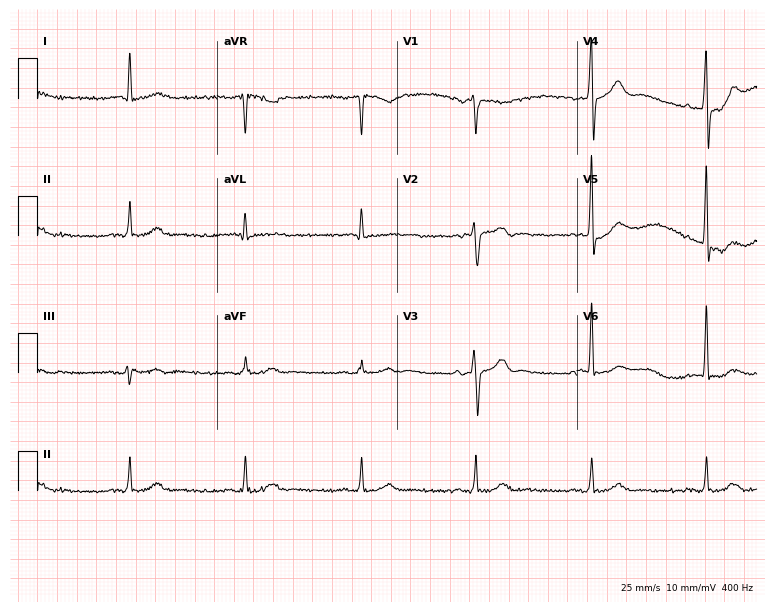
Resting 12-lead electrocardiogram. Patient: a male, 74 years old. Read as a normal ECG.